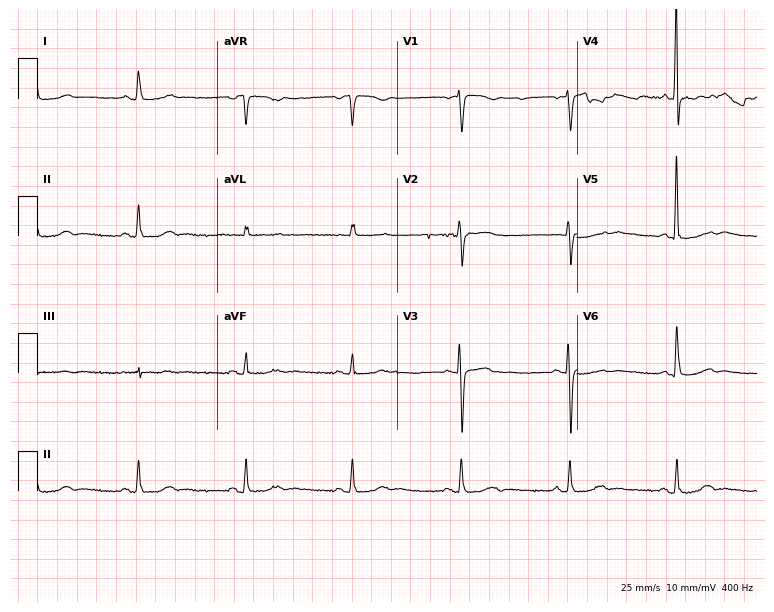
ECG — a 64-year-old female patient. Labelled as a normal ECG.